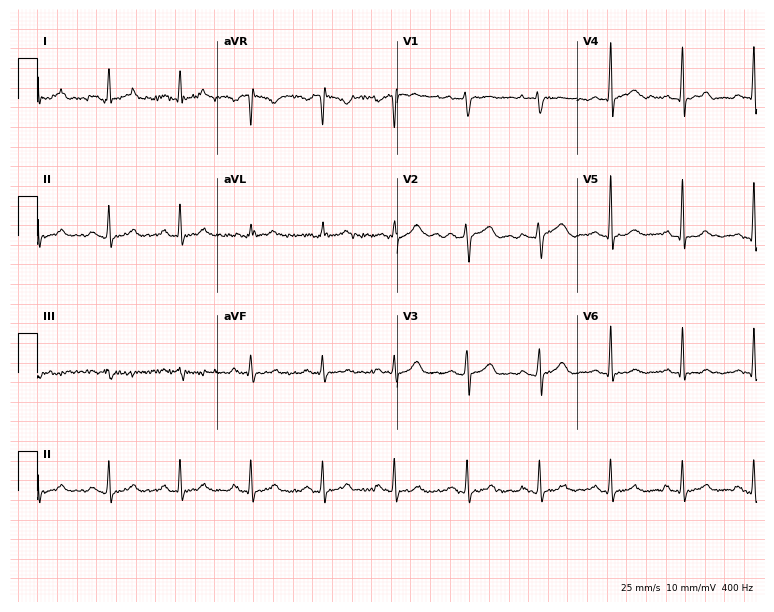
ECG — a 32-year-old man. Screened for six findings — first-degree AV block, right bundle branch block, left bundle branch block, sinus bradycardia, atrial fibrillation, sinus tachycardia — none is recorded. Findings outside these six are not listed.